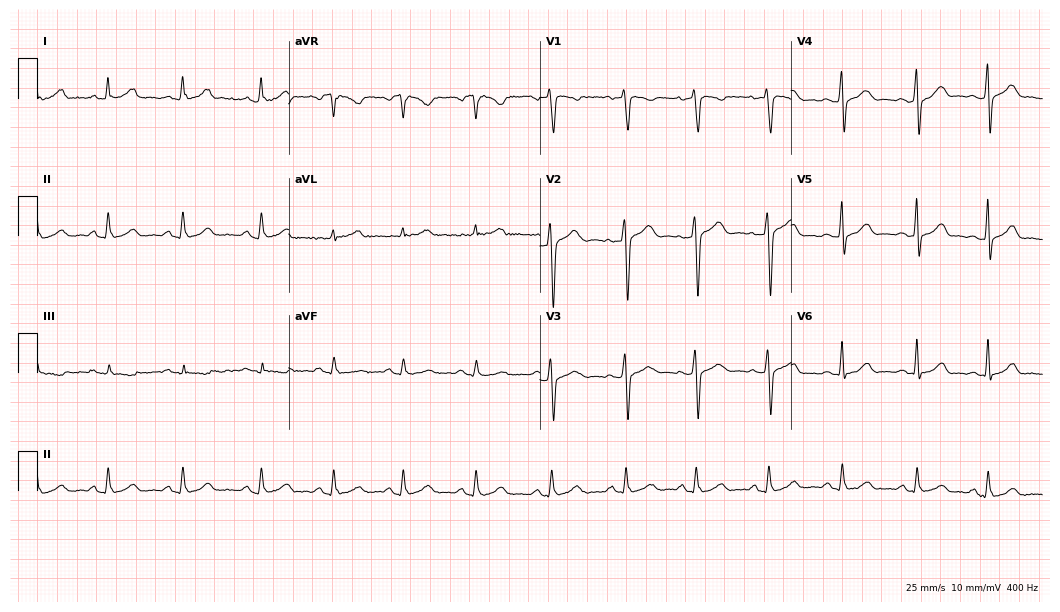
Standard 12-lead ECG recorded from a 21-year-old female patient (10.2-second recording at 400 Hz). Read as a normal ECG.